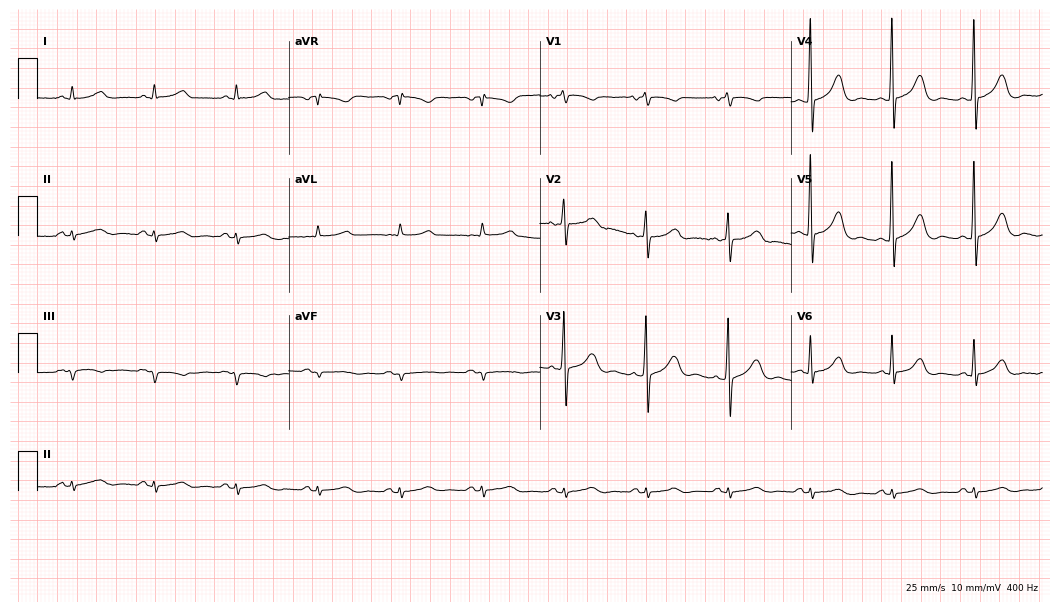
Resting 12-lead electrocardiogram (10.2-second recording at 400 Hz). Patient: a 61-year-old man. Read as a normal ECG.